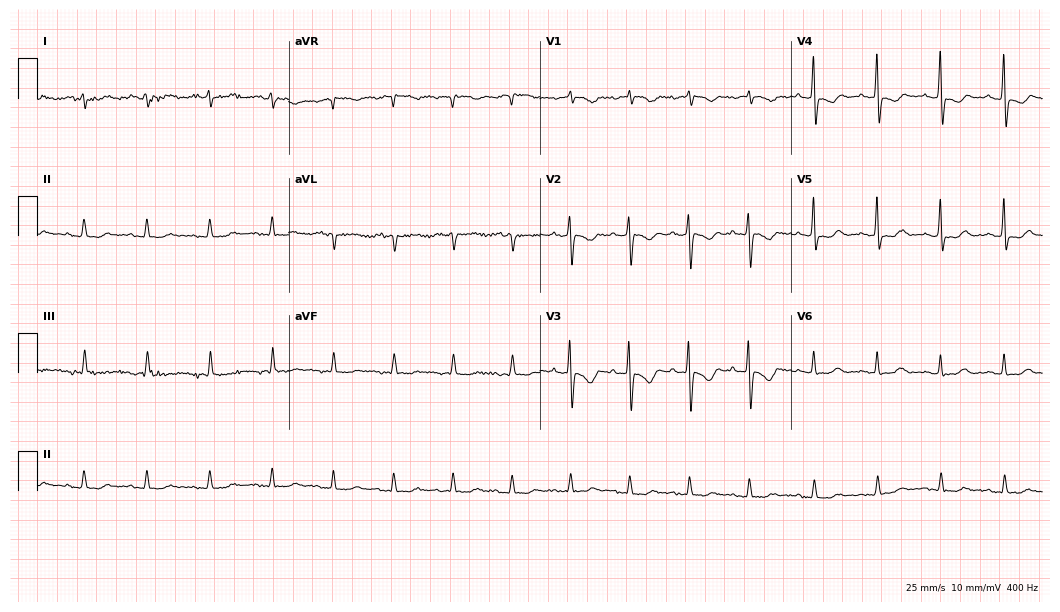
12-lead ECG (10.2-second recording at 400 Hz) from a 68-year-old female patient. Screened for six findings — first-degree AV block, right bundle branch block, left bundle branch block, sinus bradycardia, atrial fibrillation, sinus tachycardia — none is recorded. Only these six findings were labelled.